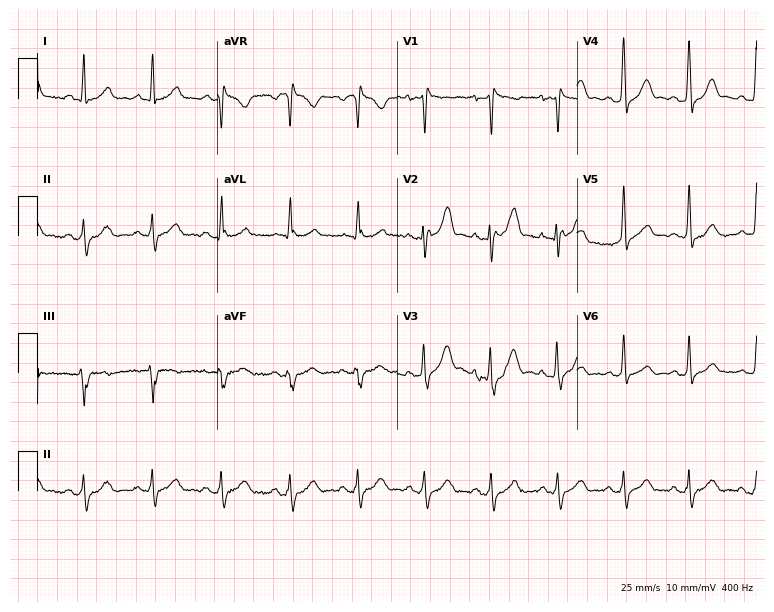
Electrocardiogram, a 37-year-old male patient. Of the six screened findings (first-degree AV block, right bundle branch block (RBBB), left bundle branch block (LBBB), sinus bradycardia, atrial fibrillation (AF), sinus tachycardia), none is recorded.